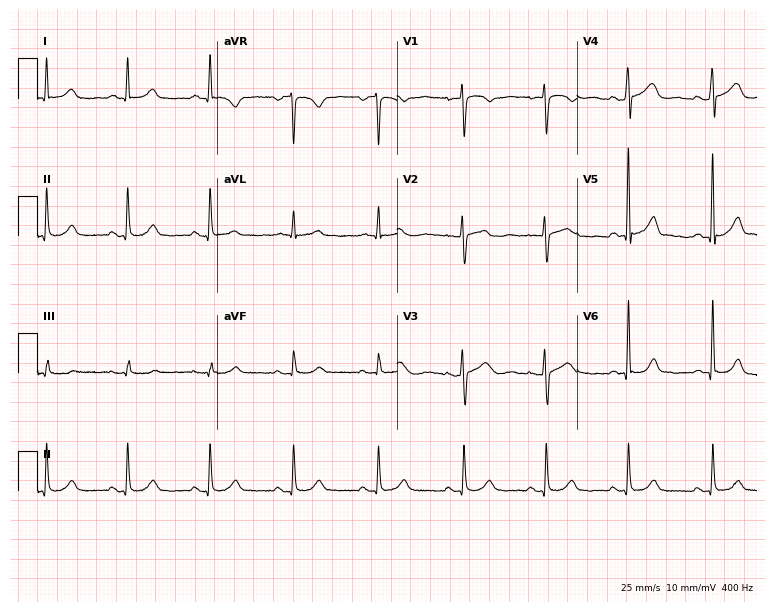
12-lead ECG from a 52-year-old female patient. Labelled as a normal ECG.